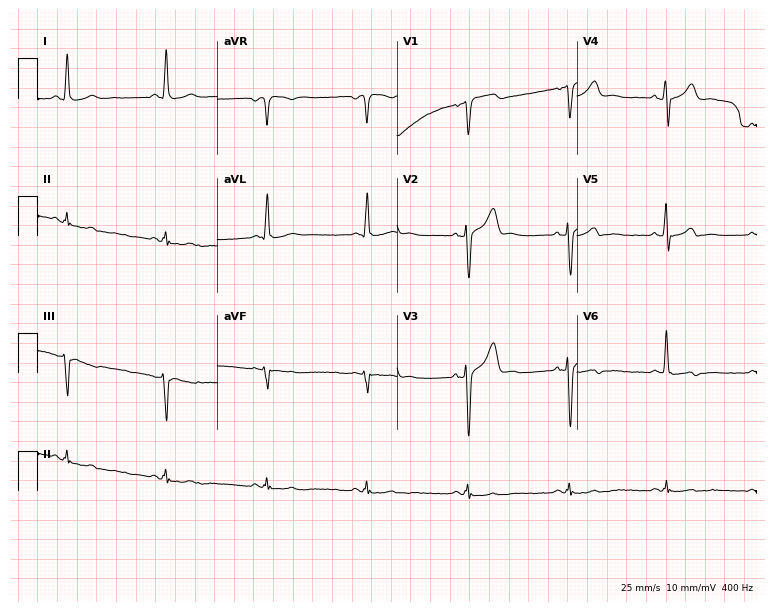
Standard 12-lead ECG recorded from a 54-year-old male (7.3-second recording at 400 Hz). None of these six findings is recorded: first-degree AV block, right bundle branch block (RBBB), left bundle branch block (LBBB), sinus bradycardia, atrial fibrillation (AF), sinus tachycardia. Other findings, if any, are not listed.